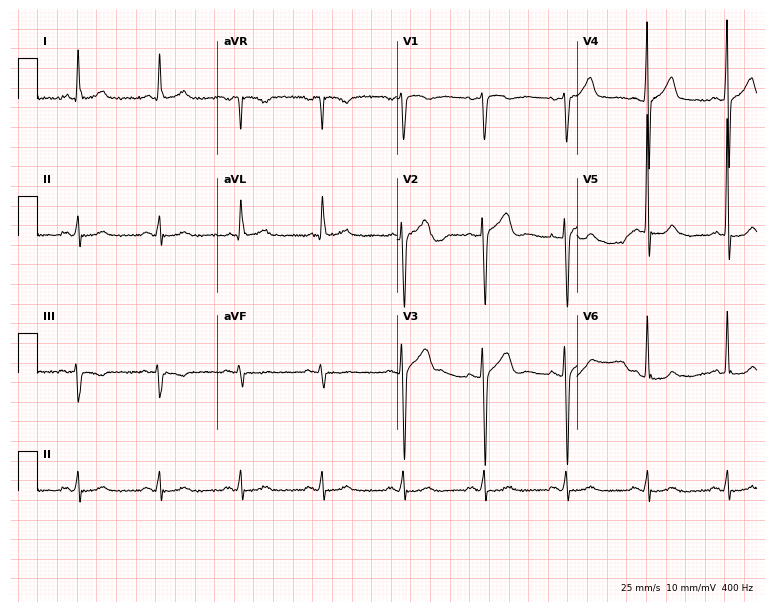
Electrocardiogram, a 63-year-old man. Overall reading on record: normal ECG.